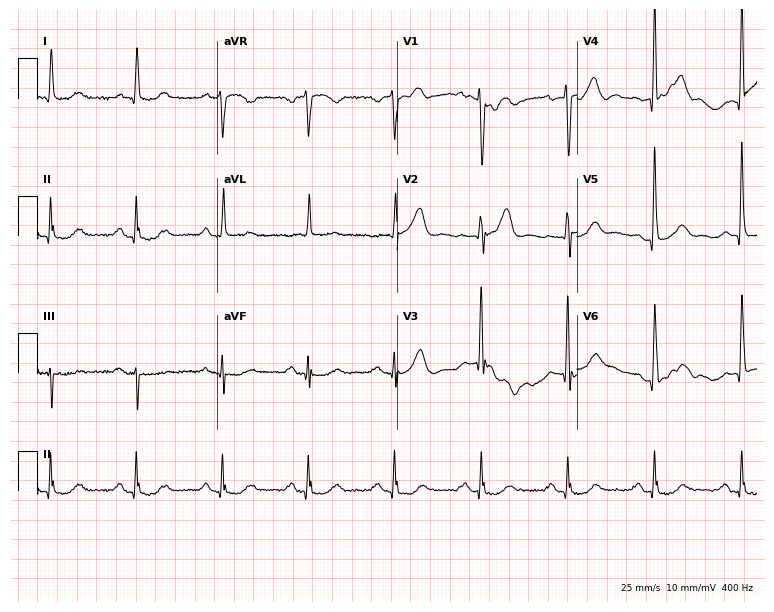
Standard 12-lead ECG recorded from a 71-year-old male patient. None of these six findings is recorded: first-degree AV block, right bundle branch block (RBBB), left bundle branch block (LBBB), sinus bradycardia, atrial fibrillation (AF), sinus tachycardia. Other findings, if any, are not listed.